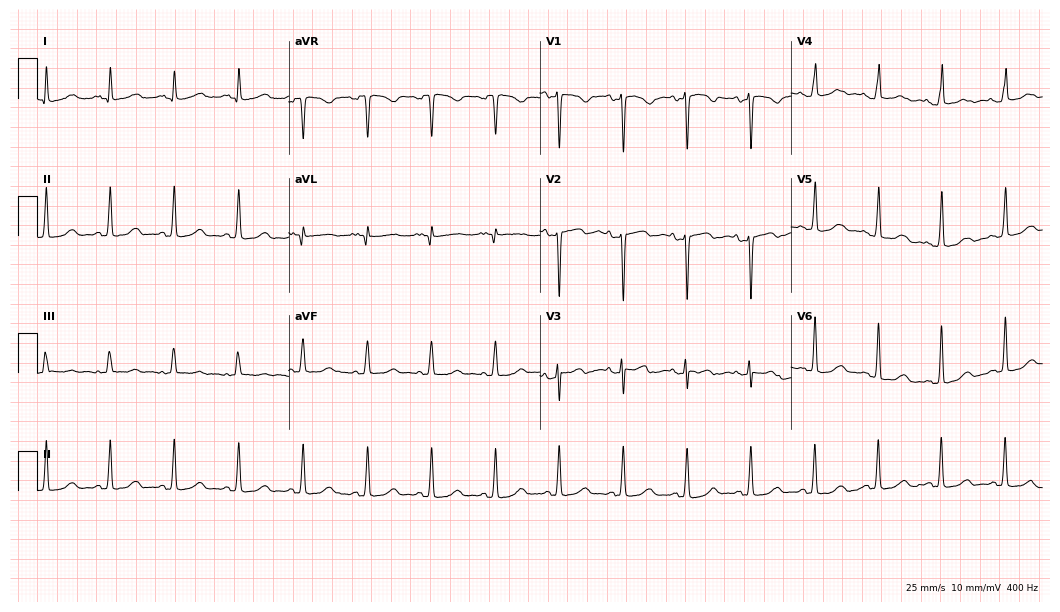
Standard 12-lead ECG recorded from a 36-year-old woman (10.2-second recording at 400 Hz). None of these six findings is recorded: first-degree AV block, right bundle branch block, left bundle branch block, sinus bradycardia, atrial fibrillation, sinus tachycardia.